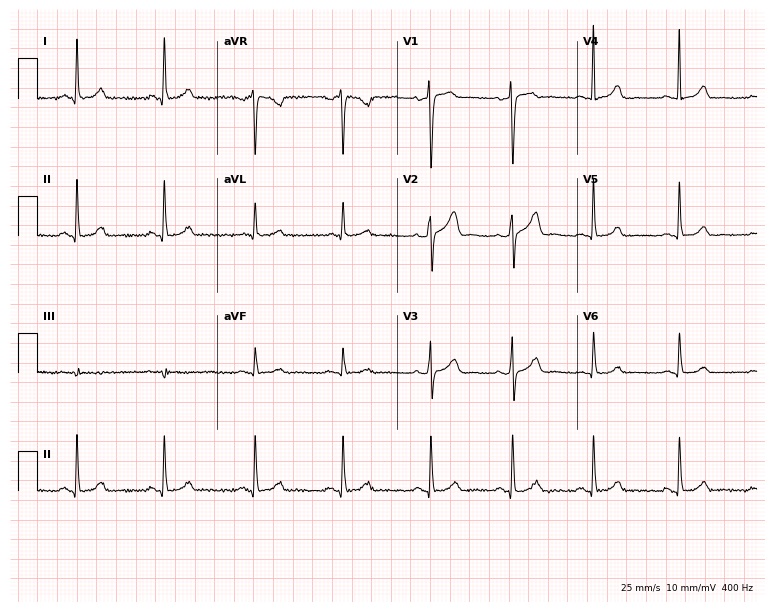
Resting 12-lead electrocardiogram. Patient: a woman, 47 years old. Read as a normal ECG.